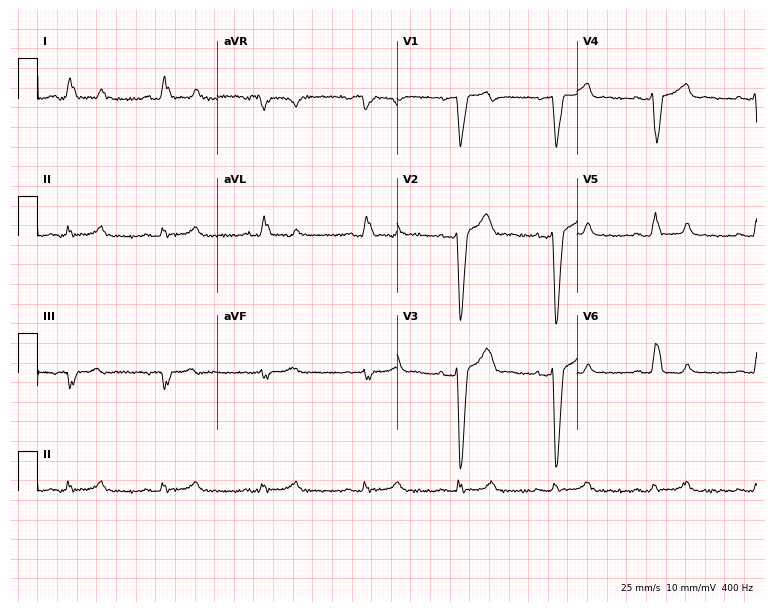
12-lead ECG from a 49-year-old male patient (7.3-second recording at 400 Hz). Shows left bundle branch block (LBBB).